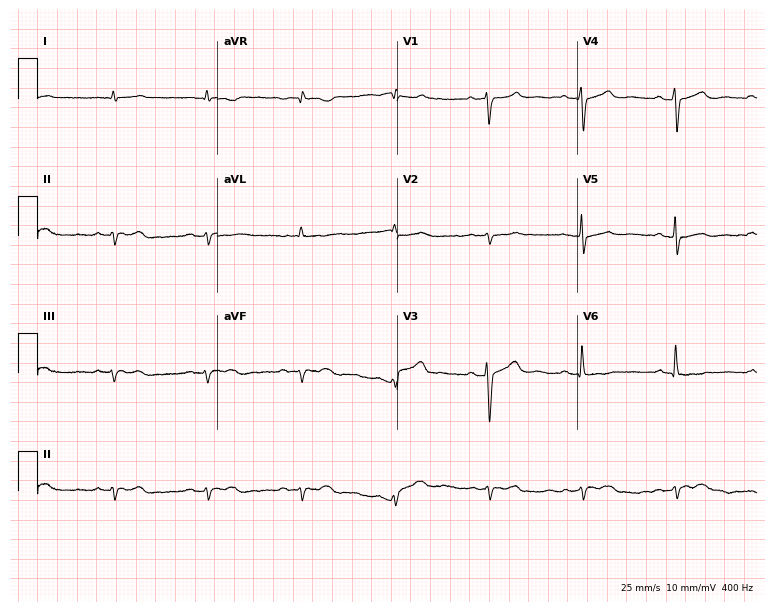
12-lead ECG (7.3-second recording at 400 Hz) from a male patient, 40 years old. Screened for six findings — first-degree AV block, right bundle branch block, left bundle branch block, sinus bradycardia, atrial fibrillation, sinus tachycardia — none is recorded.